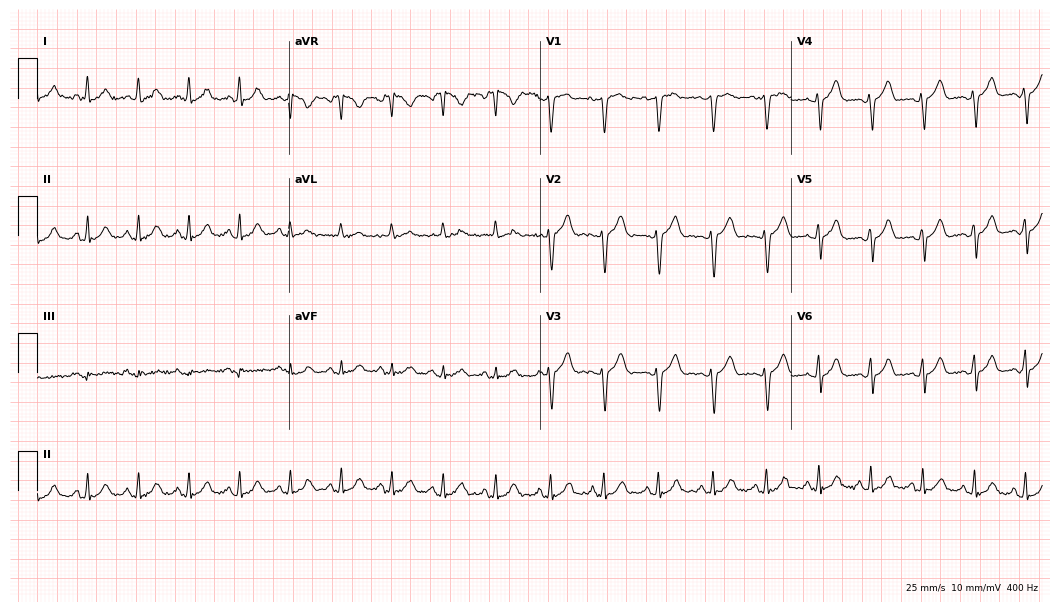
Electrocardiogram (10.2-second recording at 400 Hz), a 20-year-old female. Interpretation includes sinus tachycardia (a sinus rate of 100 beats per minute or more).